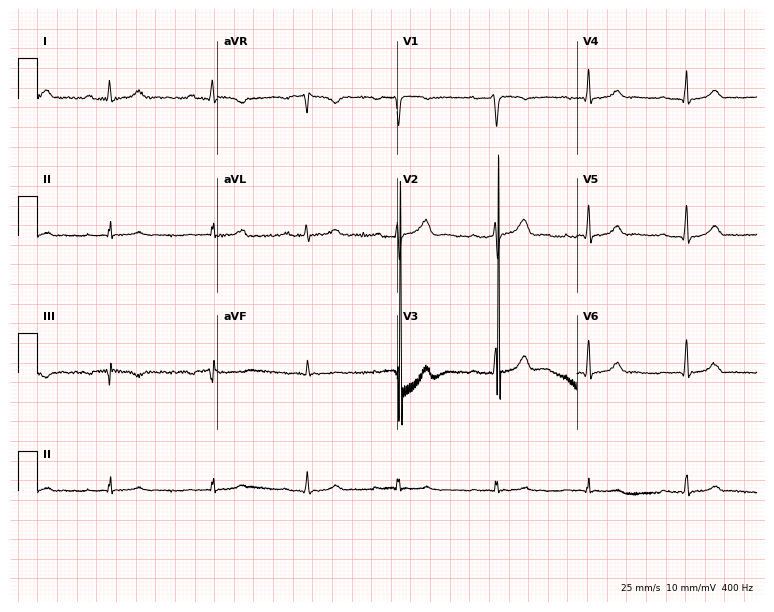
Electrocardiogram (7.3-second recording at 400 Hz), a 23-year-old female patient. Interpretation includes first-degree AV block.